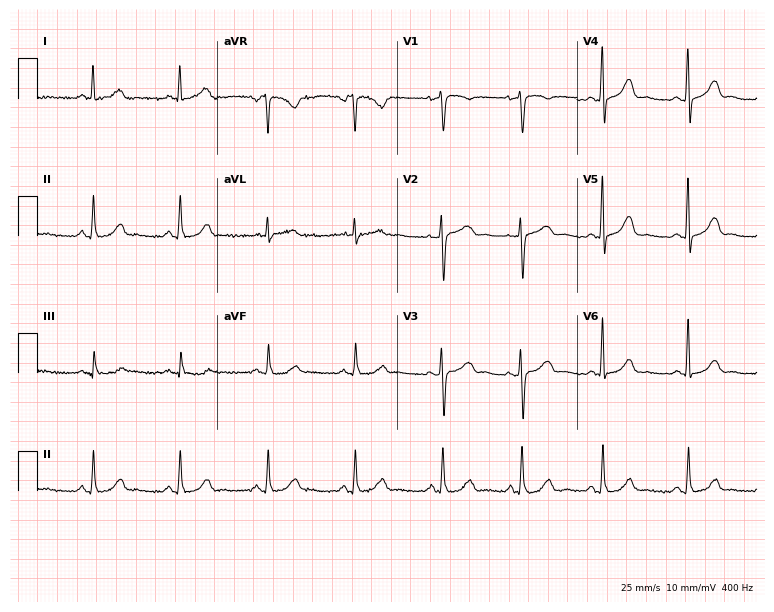
Resting 12-lead electrocardiogram. Patient: a female, 61 years old. None of these six findings is recorded: first-degree AV block, right bundle branch block, left bundle branch block, sinus bradycardia, atrial fibrillation, sinus tachycardia. Other findings, if any, are not listed.